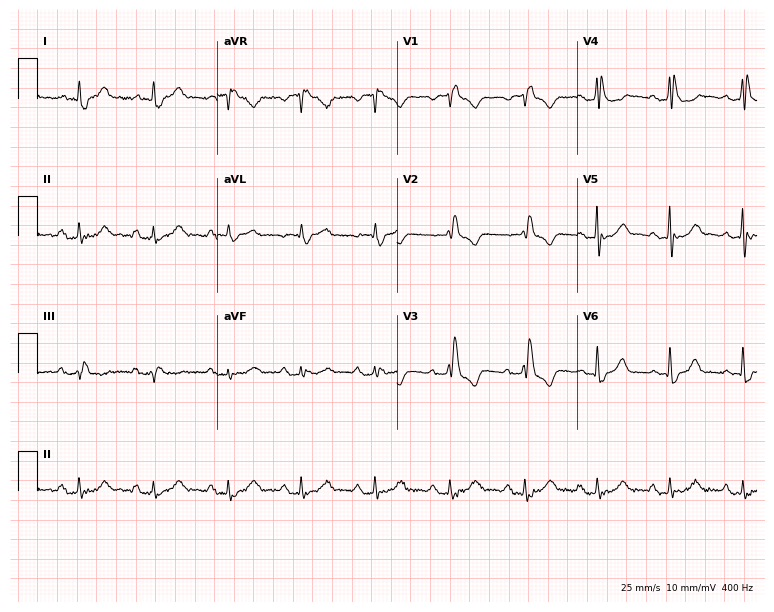
ECG — a male, 78 years old. Findings include right bundle branch block.